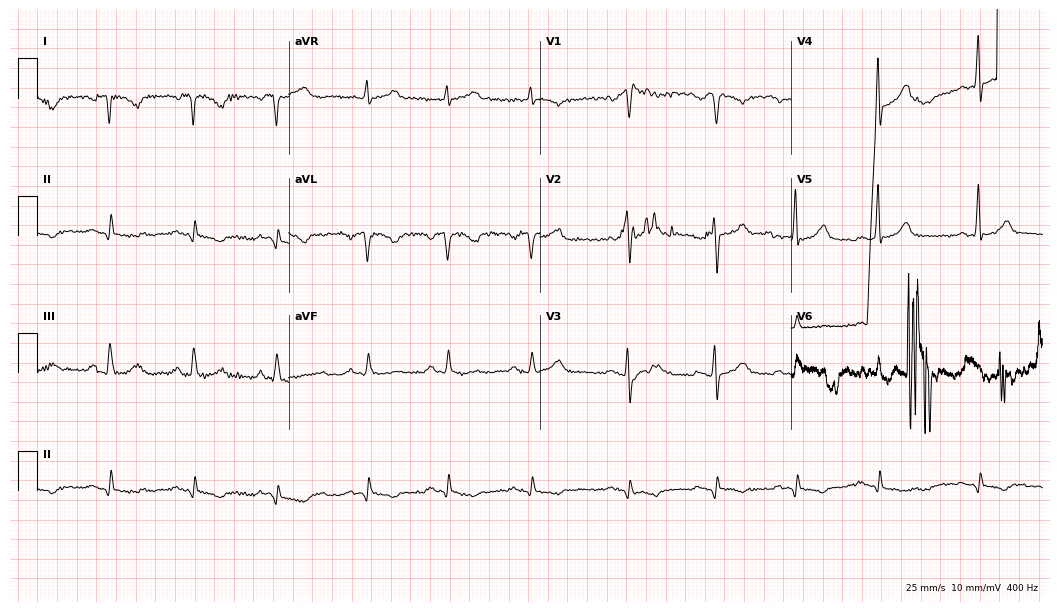
Resting 12-lead electrocardiogram (10.2-second recording at 400 Hz). Patient: a 61-year-old female. None of these six findings is recorded: first-degree AV block, right bundle branch block, left bundle branch block, sinus bradycardia, atrial fibrillation, sinus tachycardia.